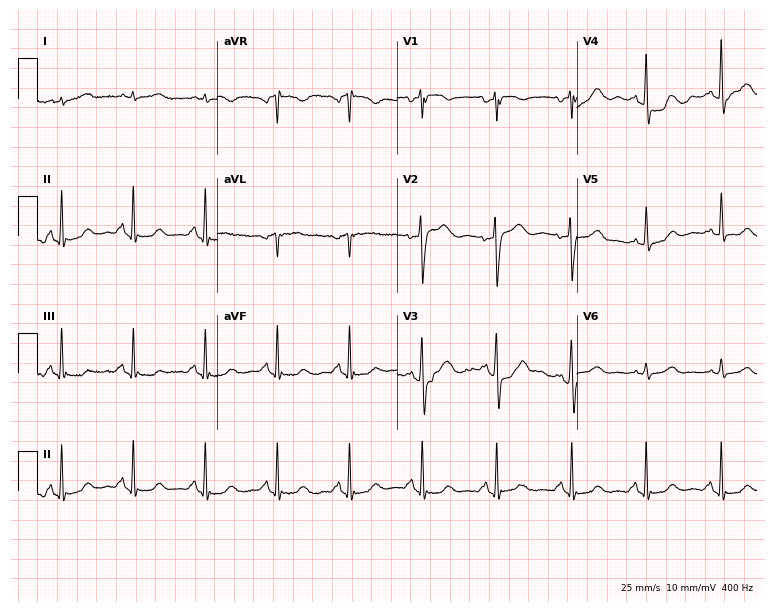
12-lead ECG from a 79-year-old male. Labelled as a normal ECG.